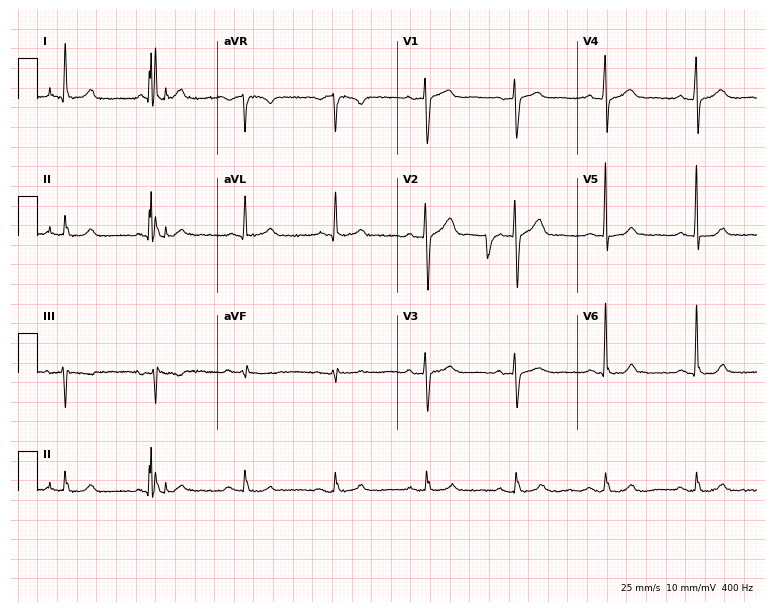
Electrocardiogram, a 64-year-old man. Overall reading on record: normal ECG.